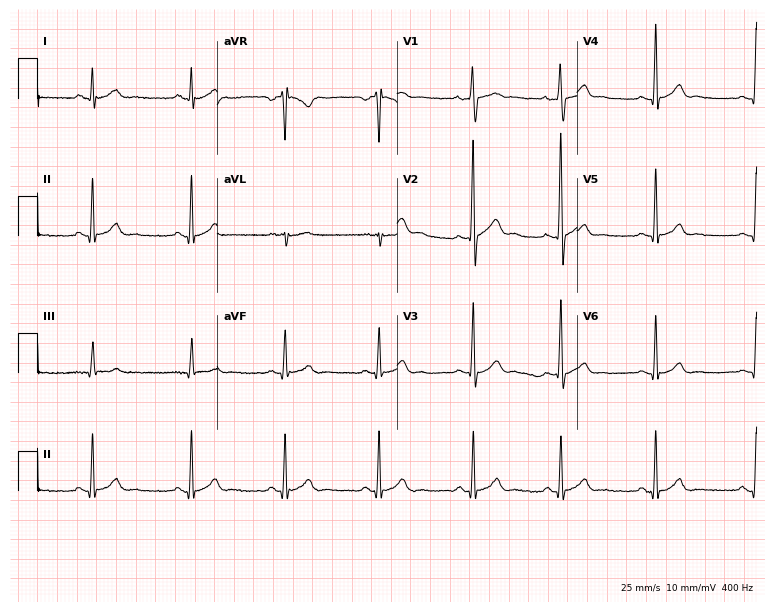
Resting 12-lead electrocardiogram (7.3-second recording at 400 Hz). Patient: a 17-year-old male. Read as a normal ECG.